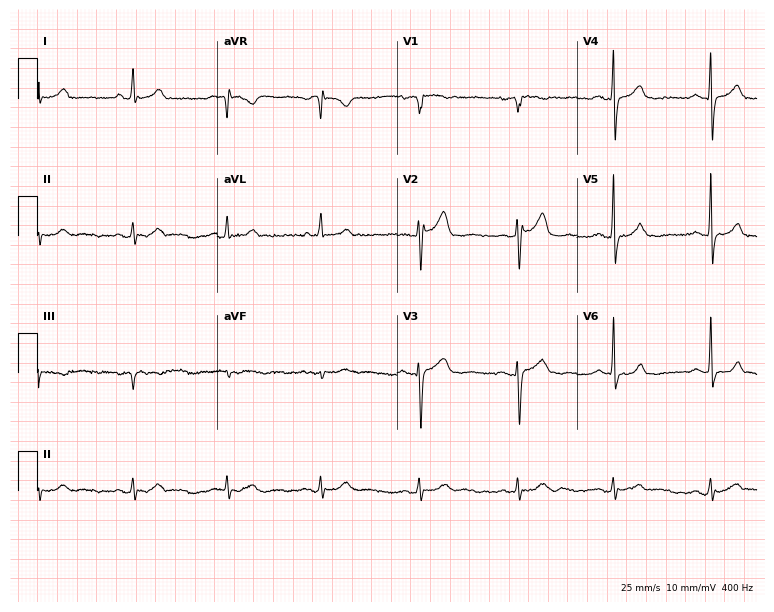
12-lead ECG (7.3-second recording at 400 Hz) from a woman, 53 years old. Labelled as a normal ECG.